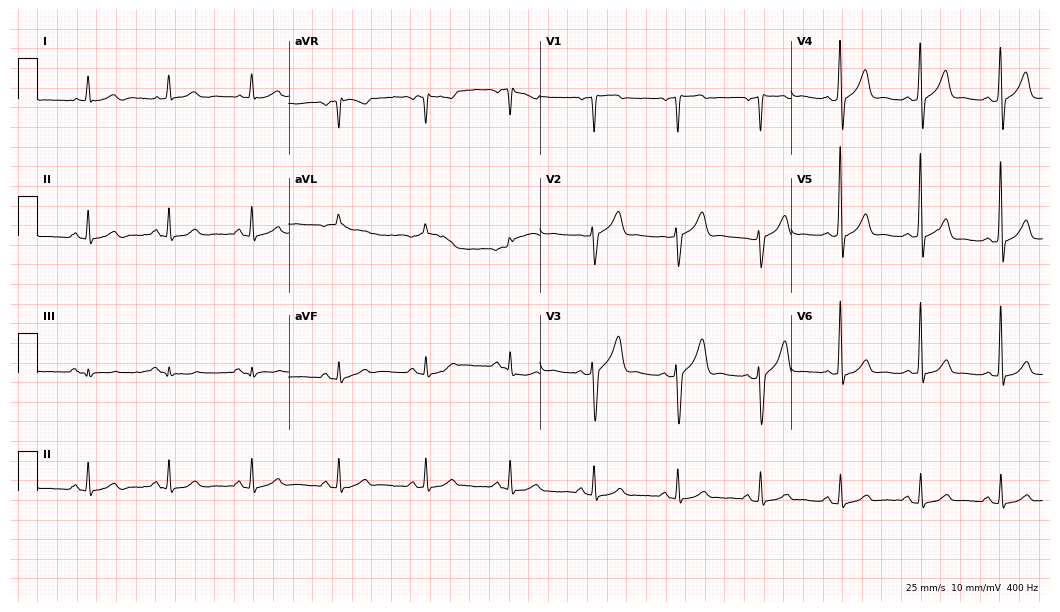
Resting 12-lead electrocardiogram (10.2-second recording at 400 Hz). Patient: a 70-year-old male. Read as a normal ECG.